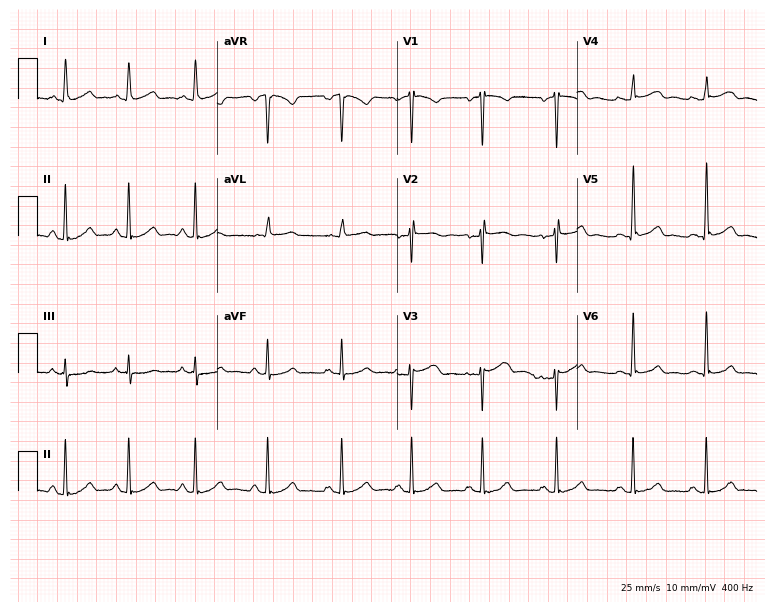
ECG (7.3-second recording at 400 Hz) — a woman, 37 years old. Labelled as a normal ECG.